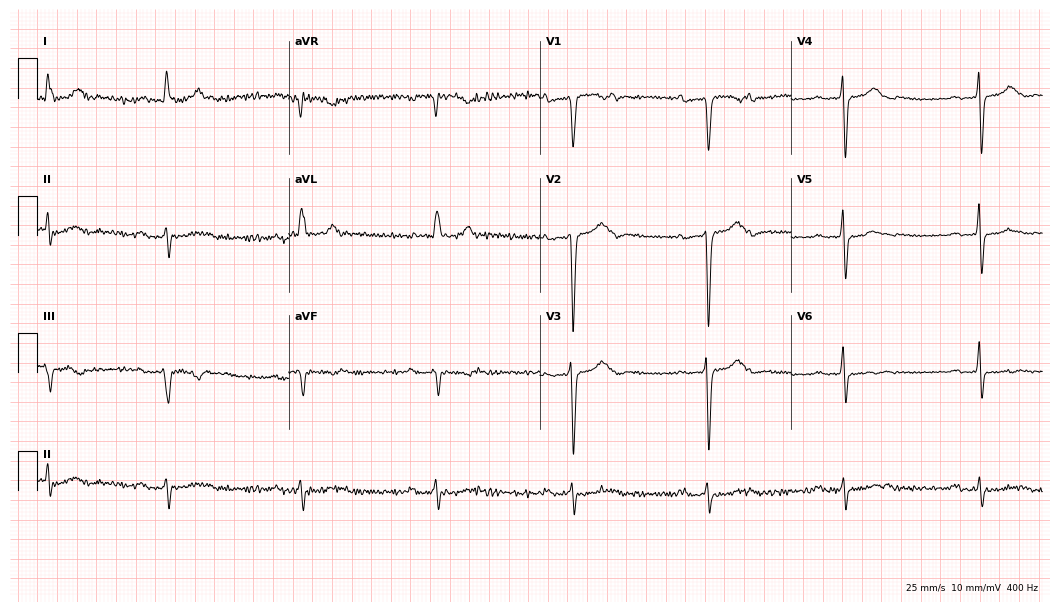
Resting 12-lead electrocardiogram (10.2-second recording at 400 Hz). Patient: a woman, 83 years old. None of these six findings is recorded: first-degree AV block, right bundle branch block, left bundle branch block, sinus bradycardia, atrial fibrillation, sinus tachycardia.